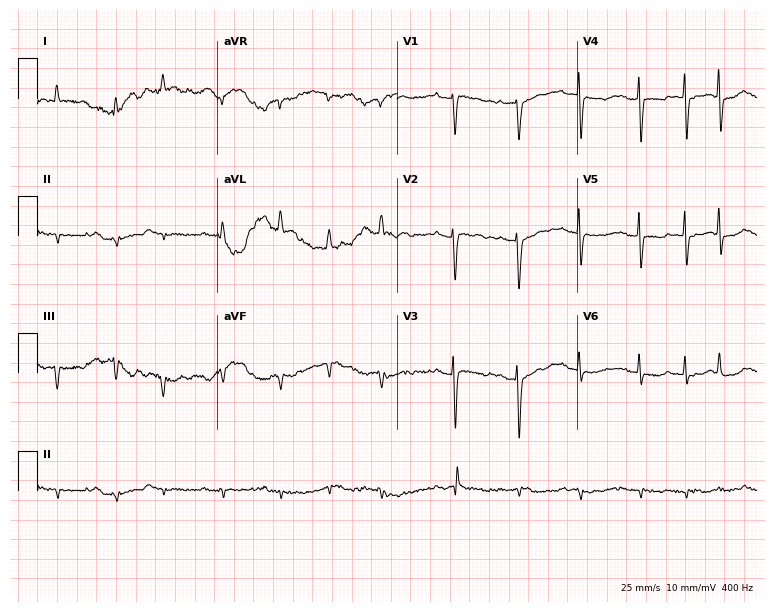
Resting 12-lead electrocardiogram (7.3-second recording at 400 Hz). Patient: a female, 58 years old. None of these six findings is recorded: first-degree AV block, right bundle branch block, left bundle branch block, sinus bradycardia, atrial fibrillation, sinus tachycardia.